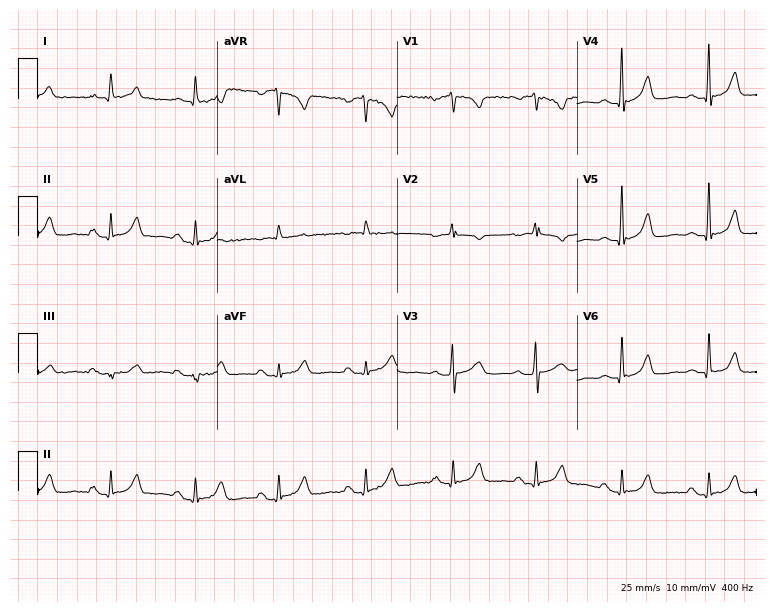
12-lead ECG from a female, 72 years old. Screened for six findings — first-degree AV block, right bundle branch block, left bundle branch block, sinus bradycardia, atrial fibrillation, sinus tachycardia — none is recorded.